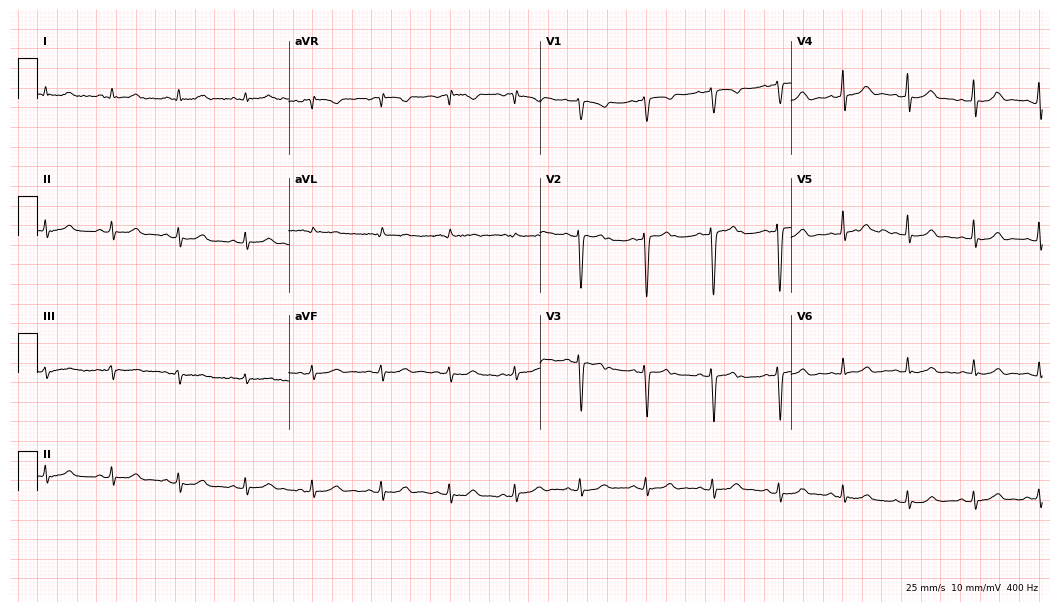
Electrocardiogram, a female patient, 17 years old. Of the six screened findings (first-degree AV block, right bundle branch block (RBBB), left bundle branch block (LBBB), sinus bradycardia, atrial fibrillation (AF), sinus tachycardia), none is recorded.